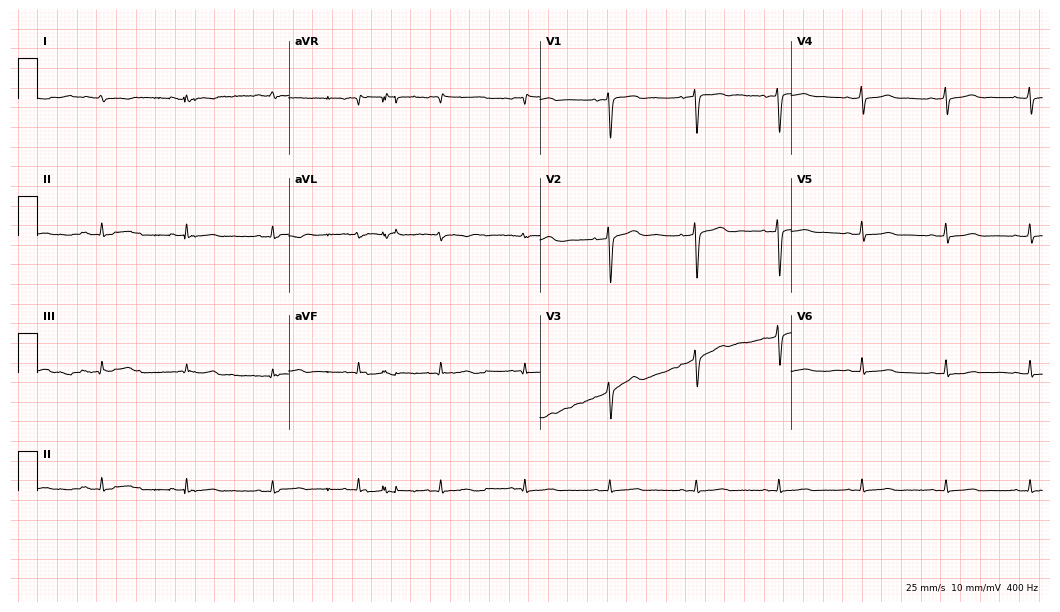
12-lead ECG from a woman, 38 years old. Screened for six findings — first-degree AV block, right bundle branch block, left bundle branch block, sinus bradycardia, atrial fibrillation, sinus tachycardia — none is recorded.